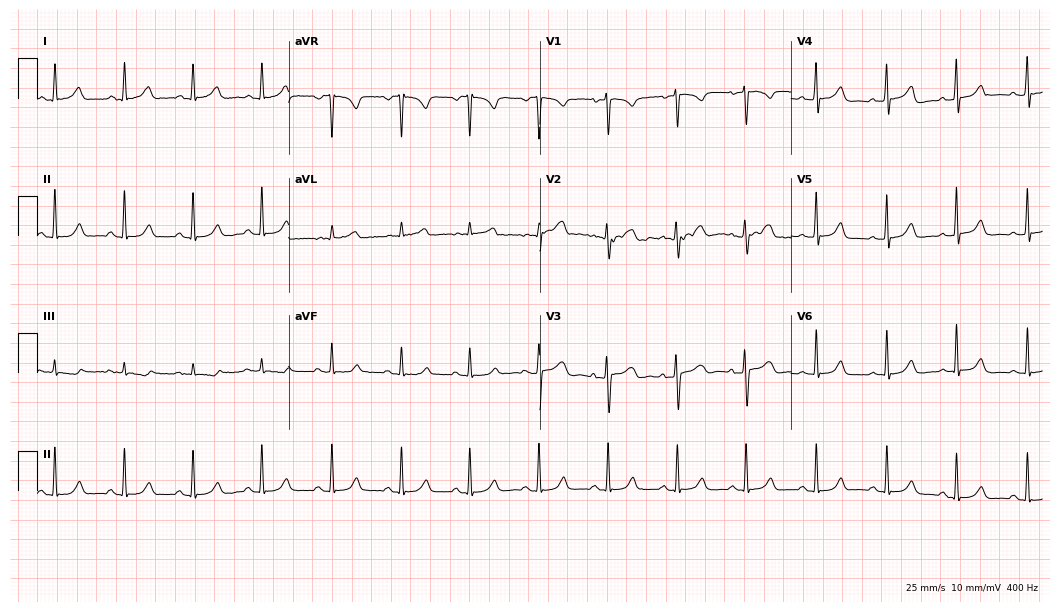
Electrocardiogram, a 42-year-old woman. Overall reading on record: normal ECG.